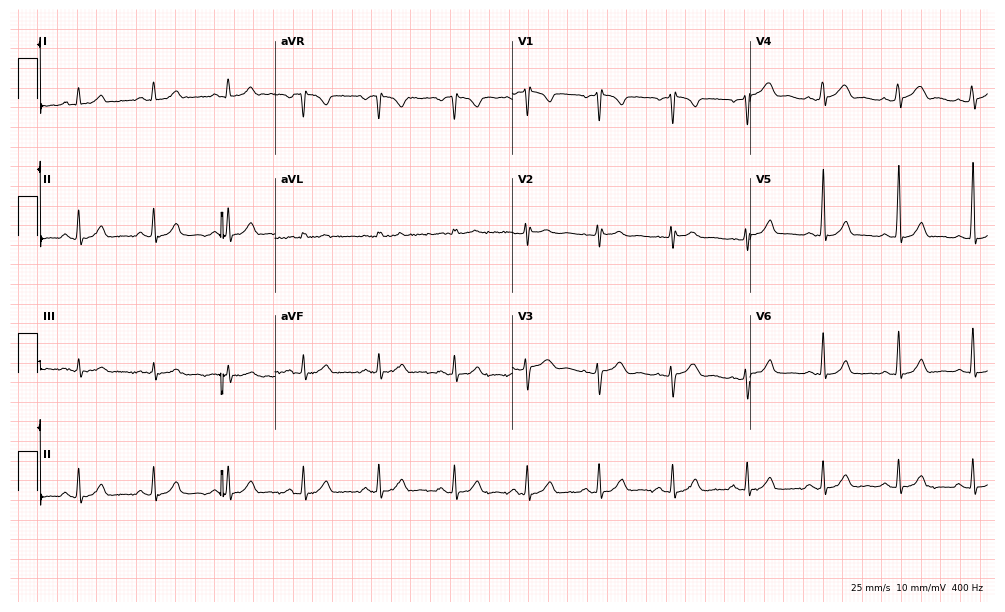
ECG — a 40-year-old female. Screened for six findings — first-degree AV block, right bundle branch block, left bundle branch block, sinus bradycardia, atrial fibrillation, sinus tachycardia — none is recorded.